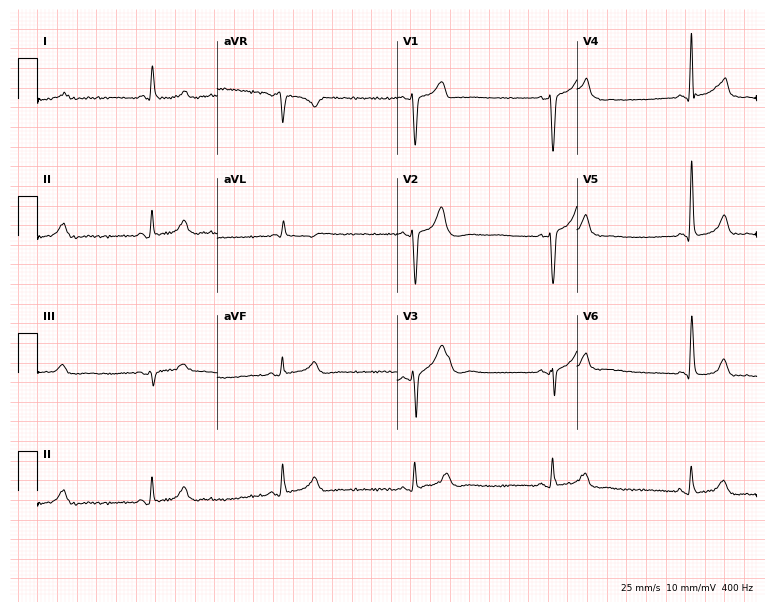
Standard 12-lead ECG recorded from a male patient, 60 years old (7.3-second recording at 400 Hz). The tracing shows sinus bradycardia (a sinus rate of 50 beats per minute or less).